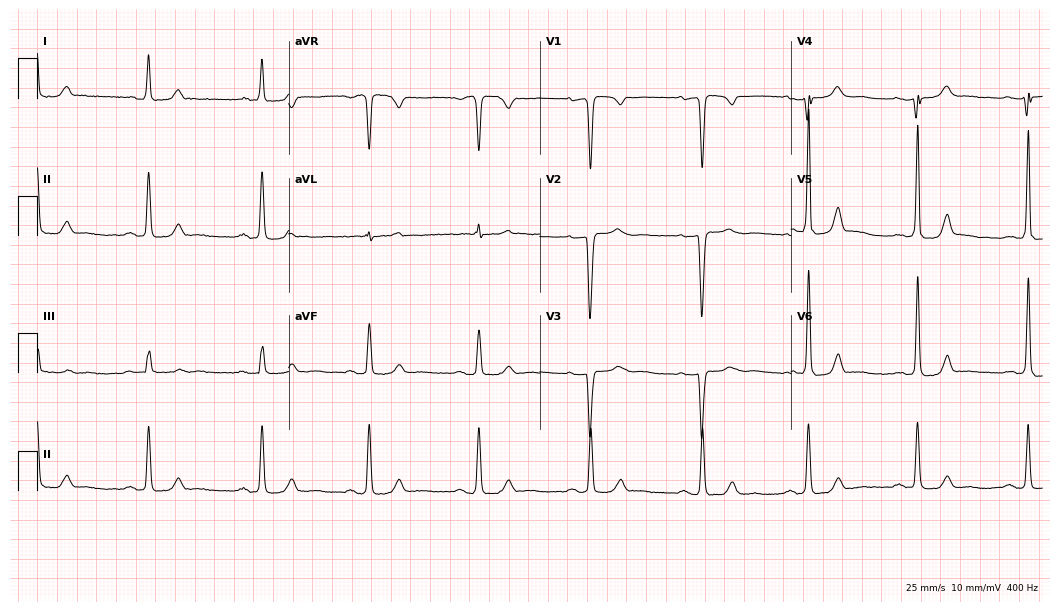
Resting 12-lead electrocardiogram. Patient: a 60-year-old female. None of these six findings is recorded: first-degree AV block, right bundle branch block (RBBB), left bundle branch block (LBBB), sinus bradycardia, atrial fibrillation (AF), sinus tachycardia. Only these six findings were labelled.